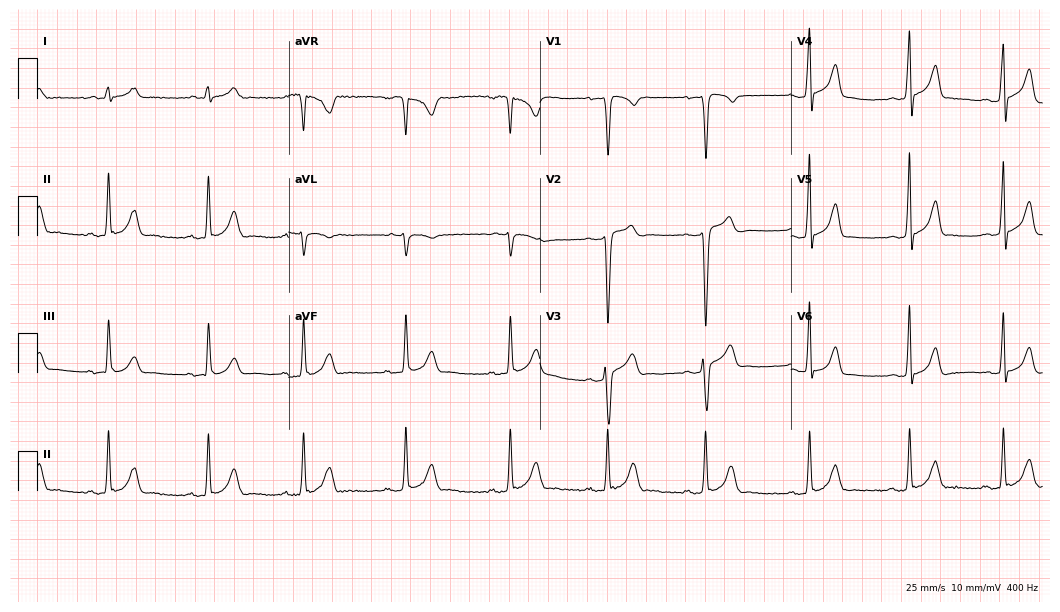
Electrocardiogram, a 25-year-old man. Overall reading on record: normal ECG.